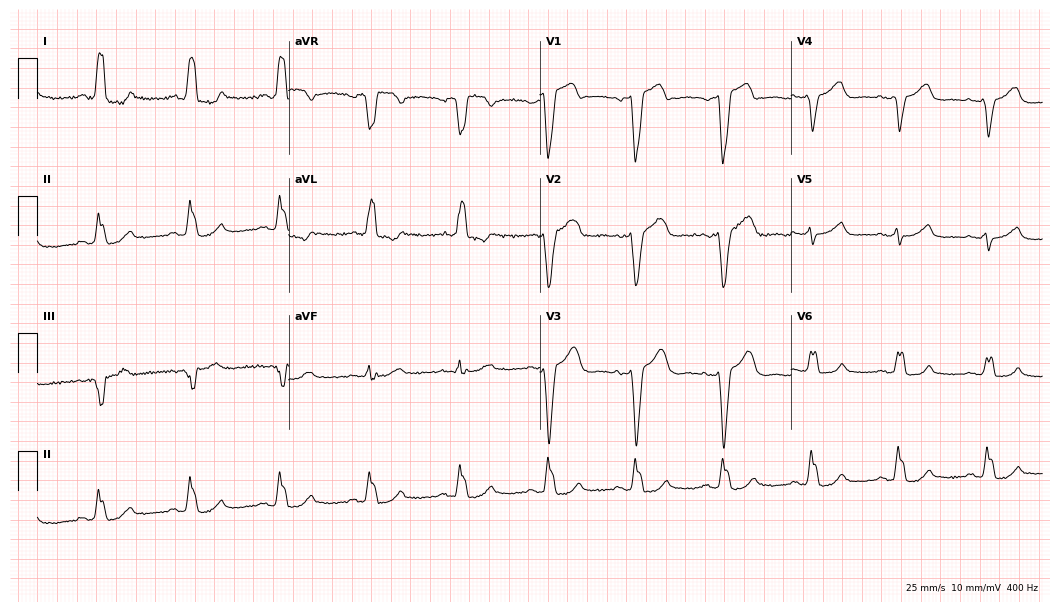
Standard 12-lead ECG recorded from a woman, 68 years old (10.2-second recording at 400 Hz). The tracing shows left bundle branch block.